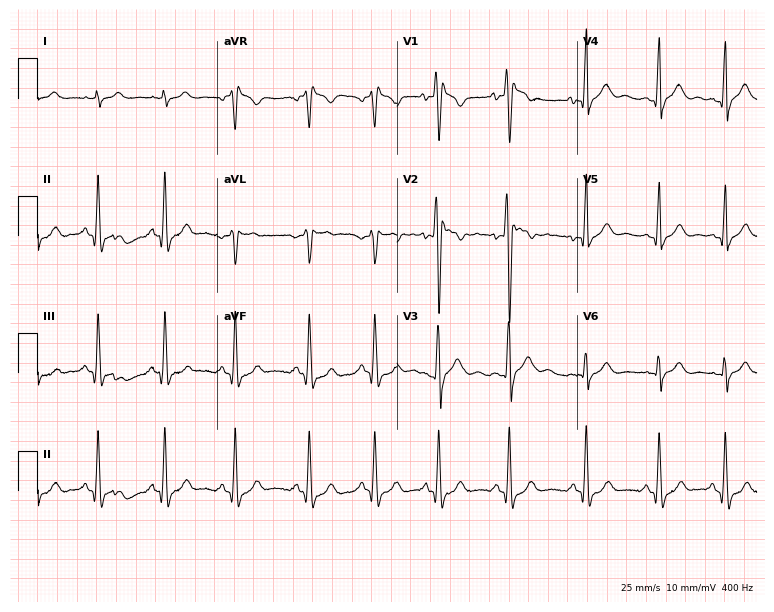
Standard 12-lead ECG recorded from a man, 19 years old (7.3-second recording at 400 Hz). None of these six findings is recorded: first-degree AV block, right bundle branch block (RBBB), left bundle branch block (LBBB), sinus bradycardia, atrial fibrillation (AF), sinus tachycardia.